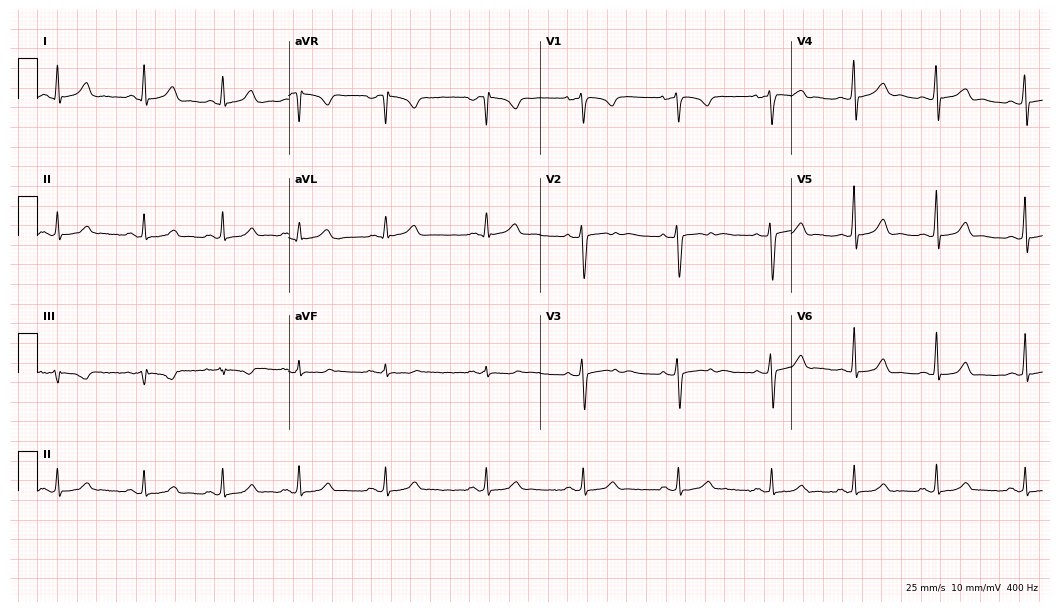
12-lead ECG (10.2-second recording at 400 Hz) from a 22-year-old woman. Labelled as a normal ECG.